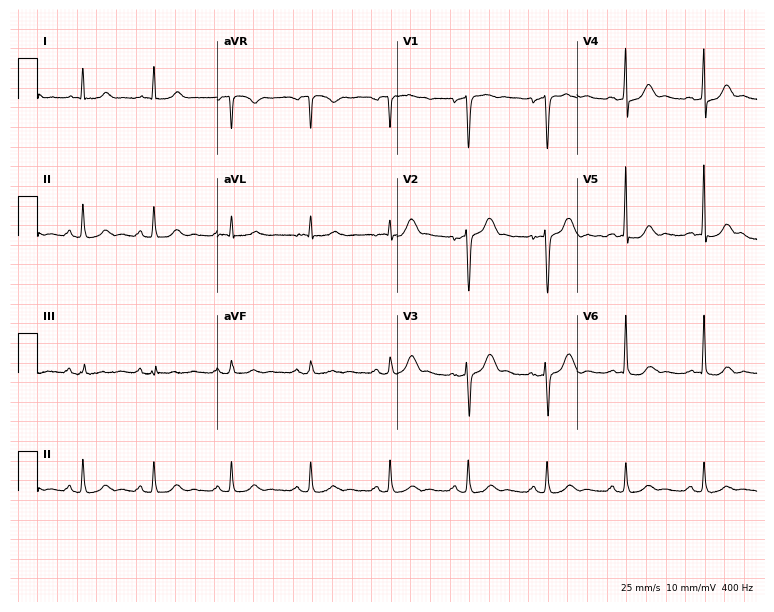
Resting 12-lead electrocardiogram (7.3-second recording at 400 Hz). Patient: a man, 56 years old. None of these six findings is recorded: first-degree AV block, right bundle branch block, left bundle branch block, sinus bradycardia, atrial fibrillation, sinus tachycardia.